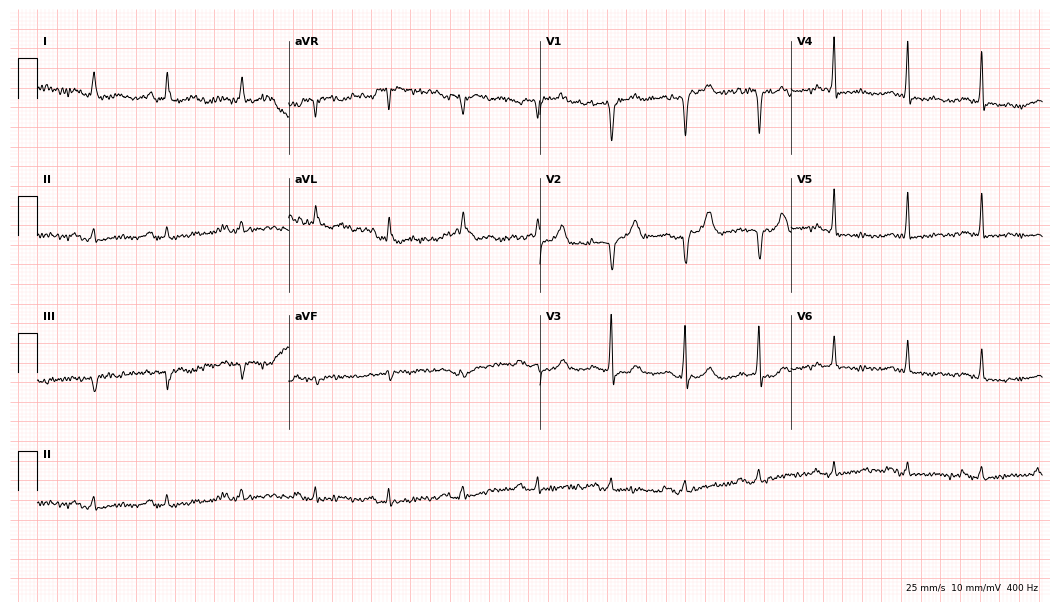
Resting 12-lead electrocardiogram. Patient: an 84-year-old male. Read as a normal ECG.